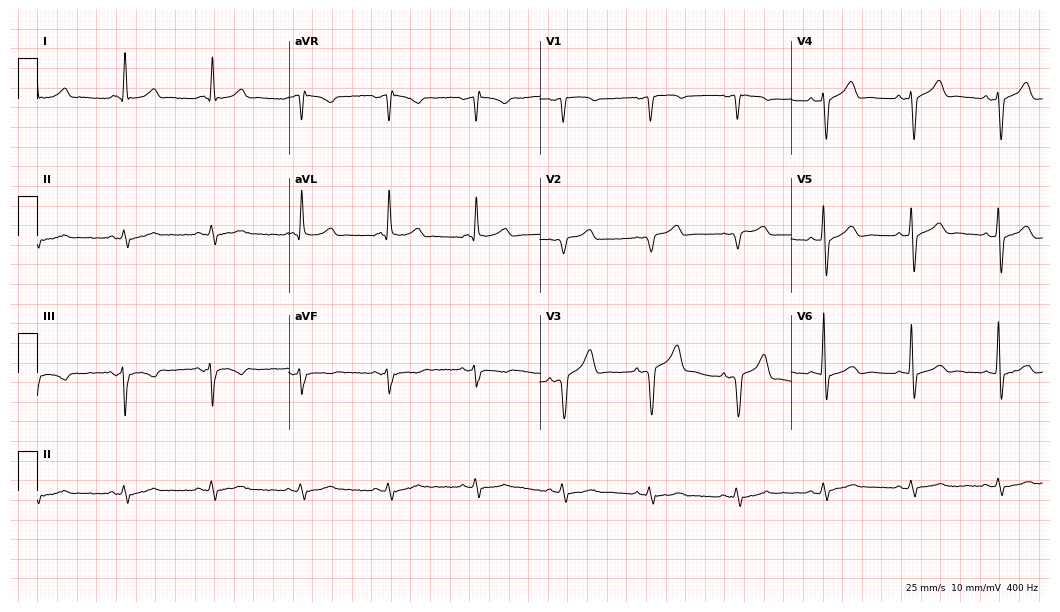
12-lead ECG from a female, 31 years old. No first-degree AV block, right bundle branch block, left bundle branch block, sinus bradycardia, atrial fibrillation or sinus tachycardia recorded for this tracing.